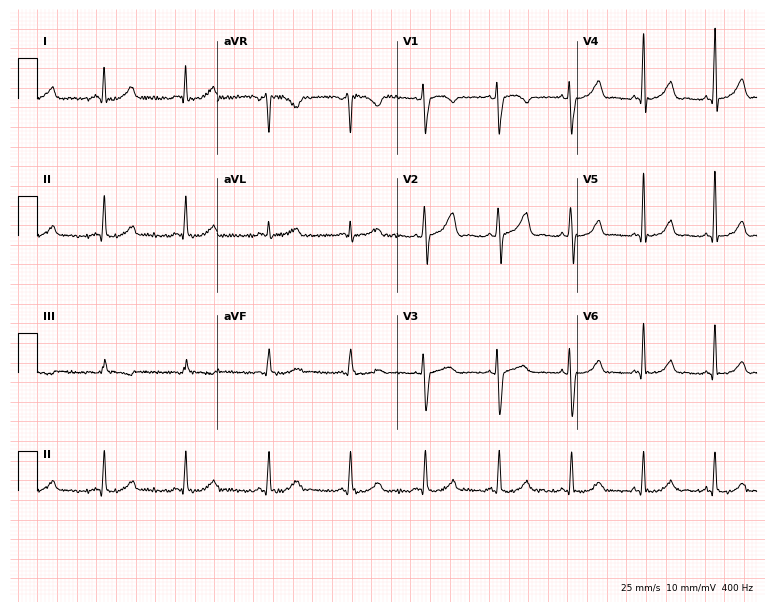
ECG — a 43-year-old female. Screened for six findings — first-degree AV block, right bundle branch block (RBBB), left bundle branch block (LBBB), sinus bradycardia, atrial fibrillation (AF), sinus tachycardia — none is recorded.